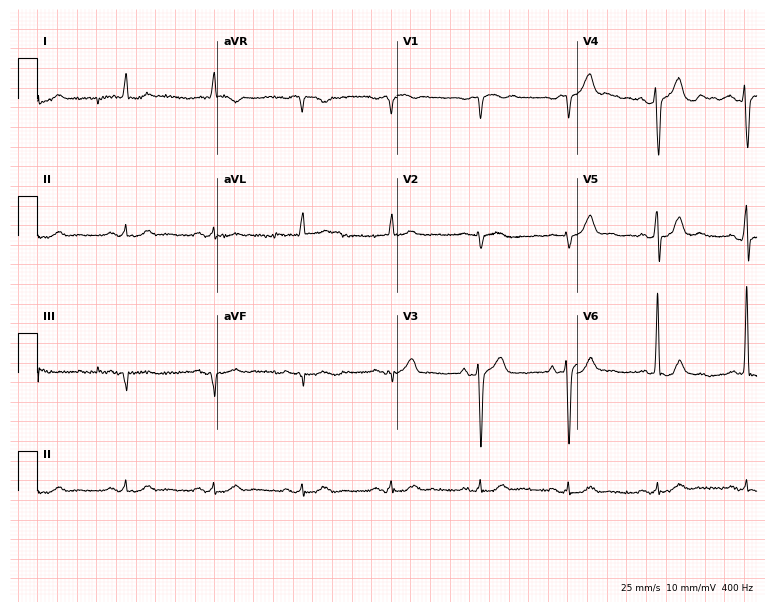
Electrocardiogram, an 83-year-old male patient. Overall reading on record: normal ECG.